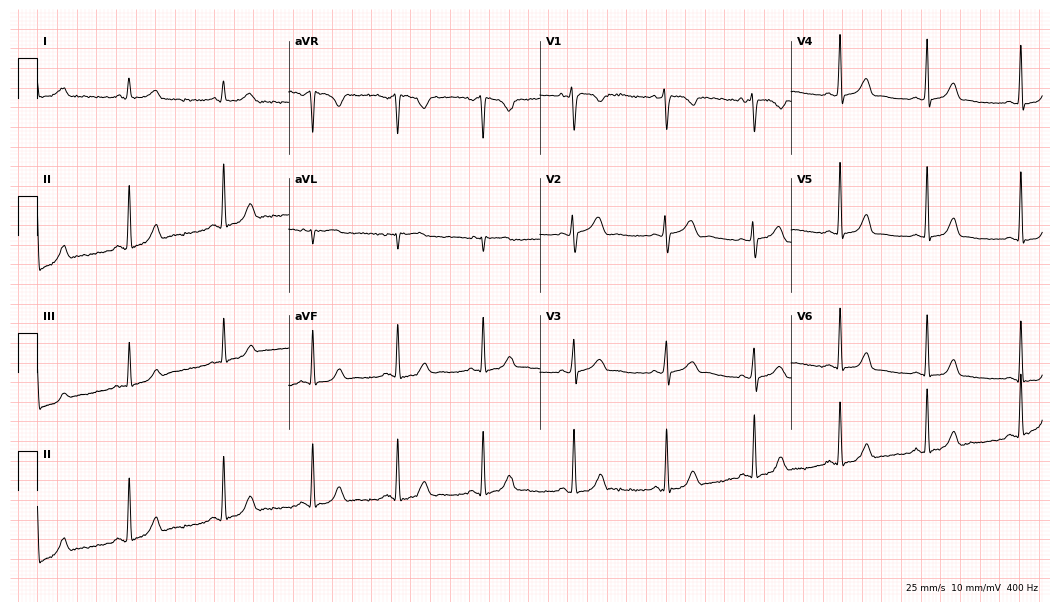
Standard 12-lead ECG recorded from a 35-year-old female. Read as a normal ECG.